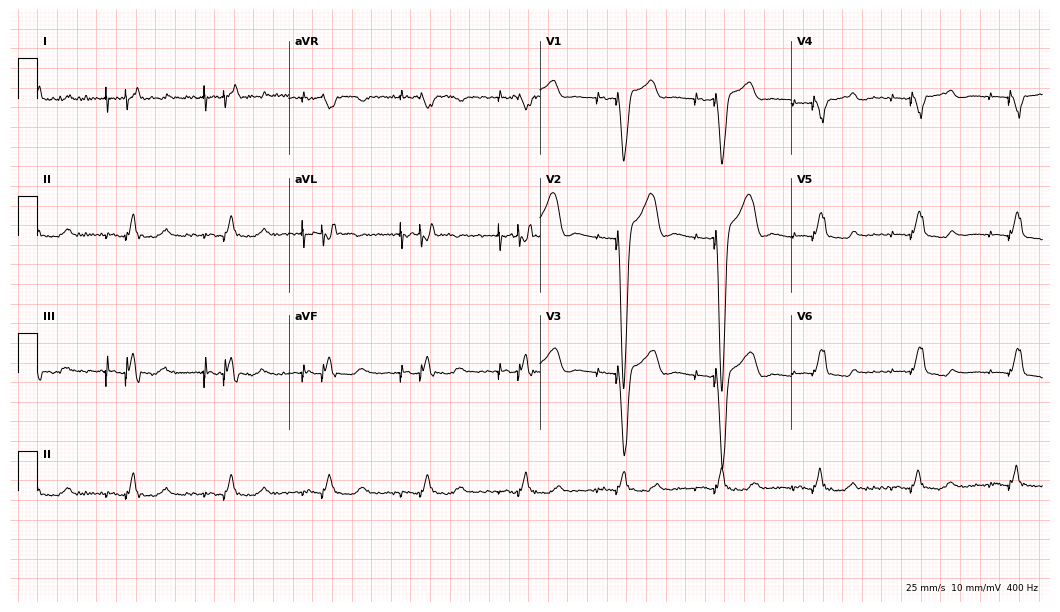
12-lead ECG from an 83-year-old man. No first-degree AV block, right bundle branch block, left bundle branch block, sinus bradycardia, atrial fibrillation or sinus tachycardia recorded for this tracing.